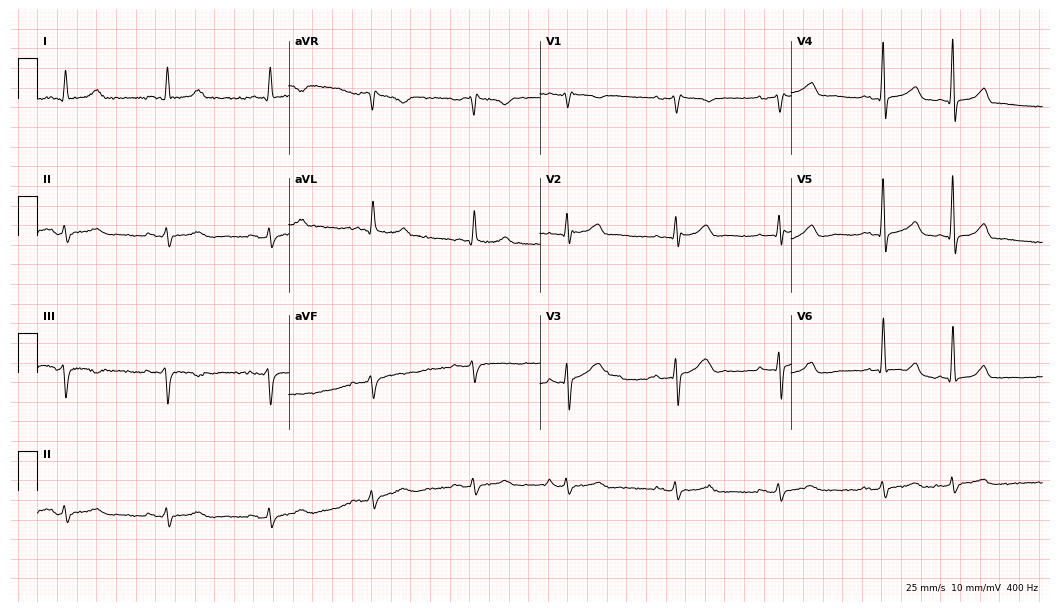
Standard 12-lead ECG recorded from a male patient, 75 years old. None of these six findings is recorded: first-degree AV block, right bundle branch block (RBBB), left bundle branch block (LBBB), sinus bradycardia, atrial fibrillation (AF), sinus tachycardia. Other findings, if any, are not listed.